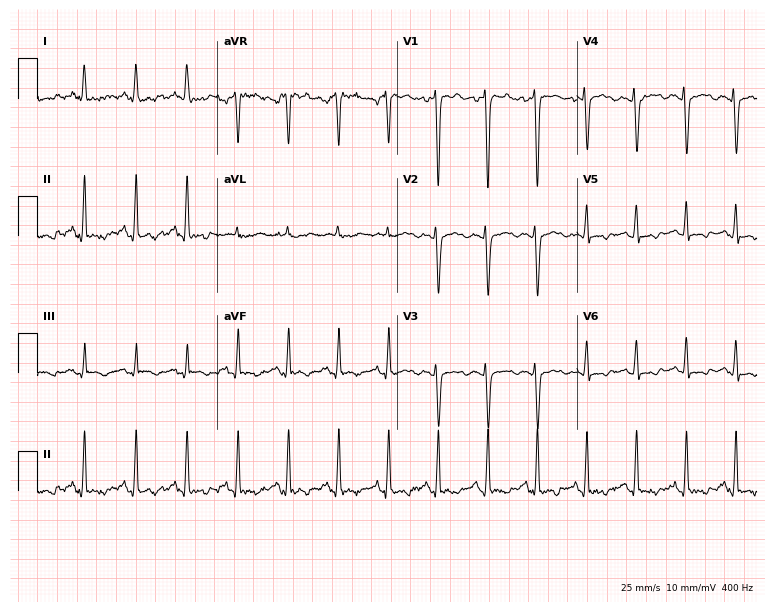
12-lead ECG from a 29-year-old female. No first-degree AV block, right bundle branch block, left bundle branch block, sinus bradycardia, atrial fibrillation or sinus tachycardia recorded for this tracing.